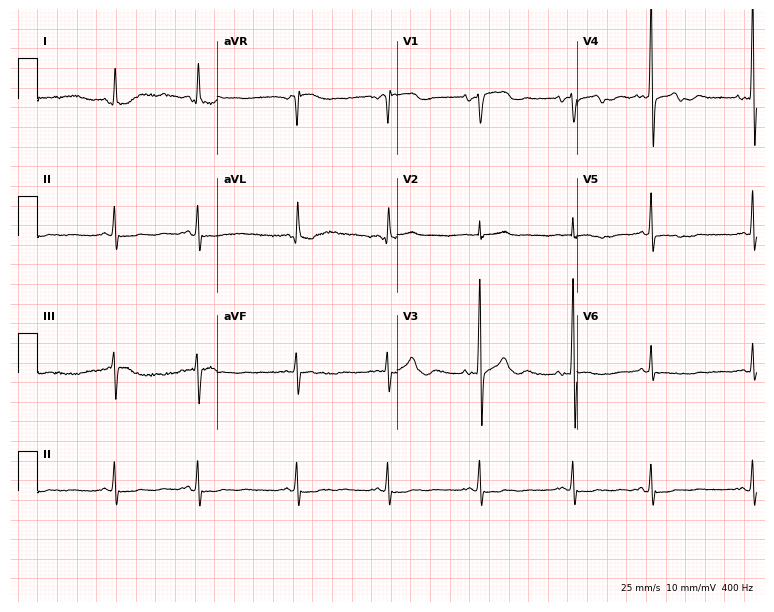
Resting 12-lead electrocardiogram (7.3-second recording at 400 Hz). Patient: a 70-year-old man. None of these six findings is recorded: first-degree AV block, right bundle branch block, left bundle branch block, sinus bradycardia, atrial fibrillation, sinus tachycardia.